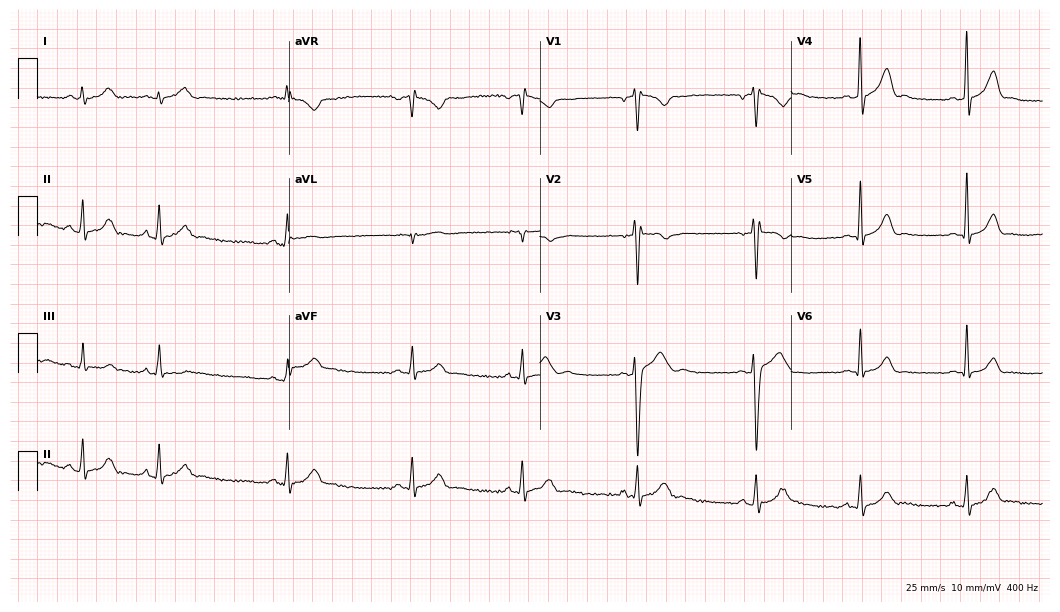
ECG — a male patient, 20 years old. Labelled as a normal ECG.